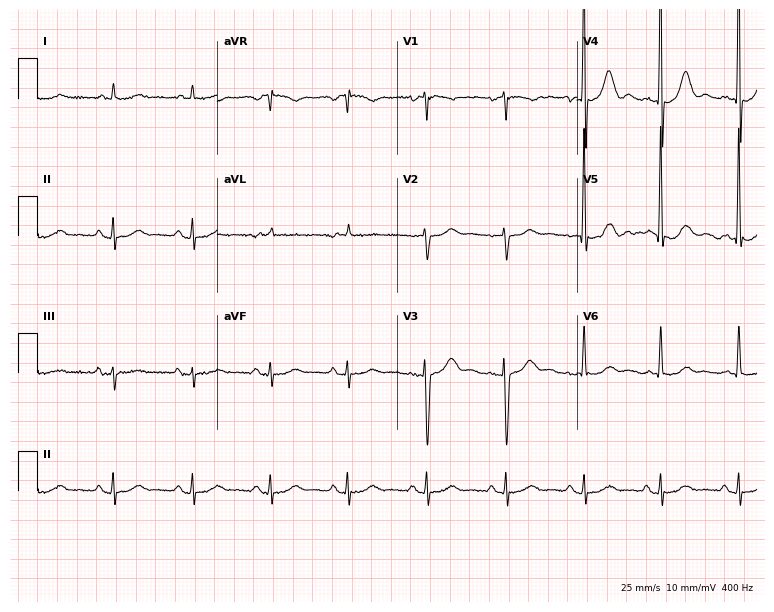
ECG (7.3-second recording at 400 Hz) — a 72-year-old female patient. Screened for six findings — first-degree AV block, right bundle branch block, left bundle branch block, sinus bradycardia, atrial fibrillation, sinus tachycardia — none is recorded. Other findings, if any, are not listed.